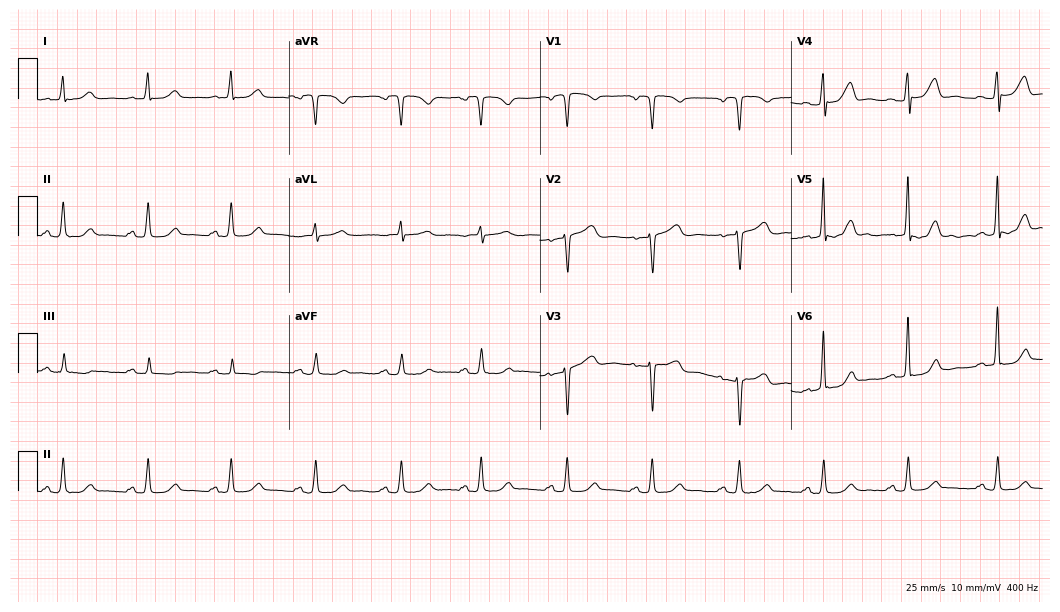
ECG — a female, 68 years old. Labelled as a normal ECG.